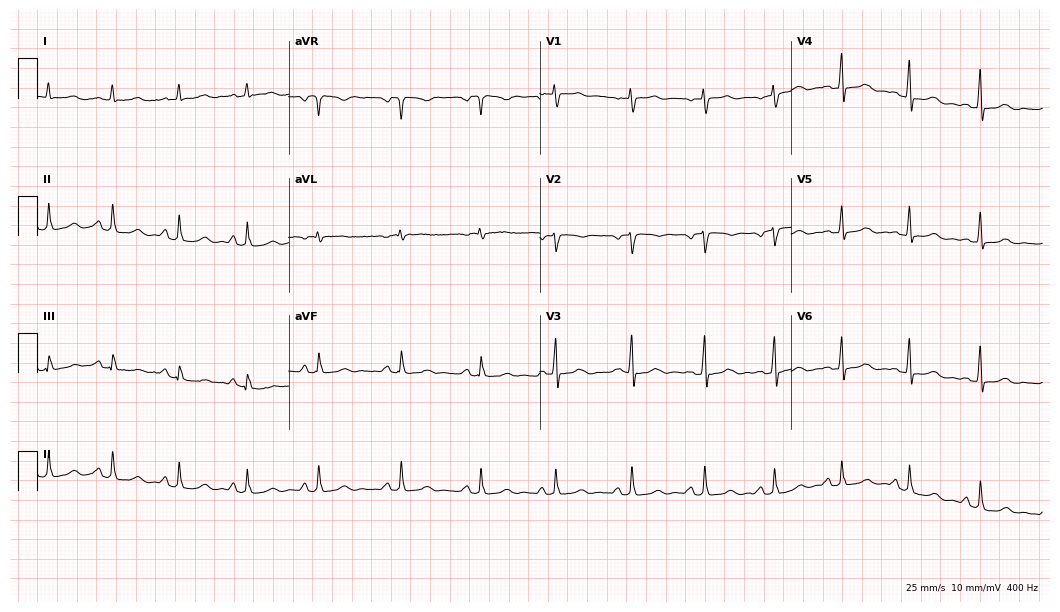
Electrocardiogram (10.2-second recording at 400 Hz), a 37-year-old female. Overall reading on record: normal ECG.